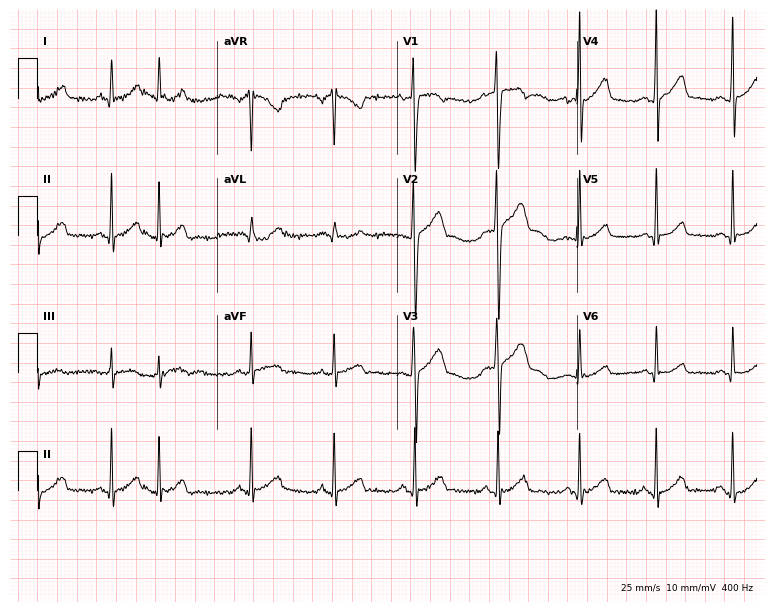
ECG — a male, 17 years old. Screened for six findings — first-degree AV block, right bundle branch block (RBBB), left bundle branch block (LBBB), sinus bradycardia, atrial fibrillation (AF), sinus tachycardia — none is recorded. Other findings, if any, are not listed.